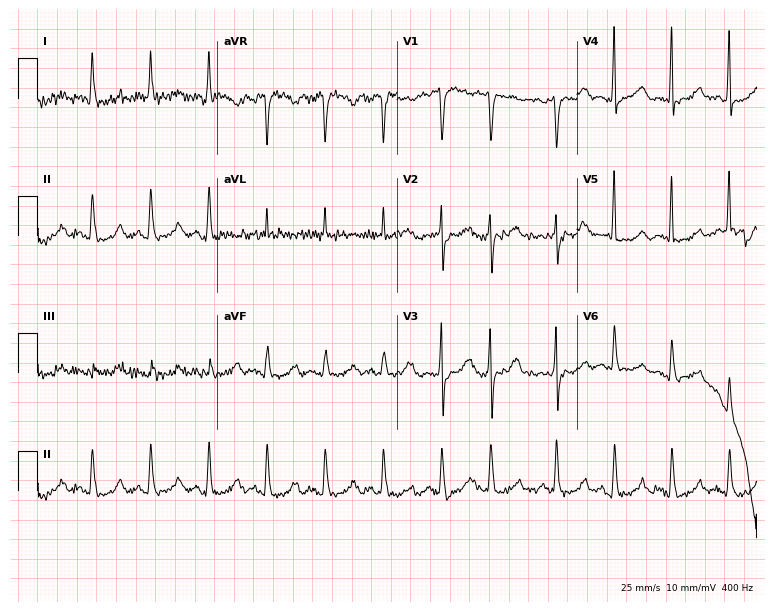
12-lead ECG from a 60-year-old female. Screened for six findings — first-degree AV block, right bundle branch block, left bundle branch block, sinus bradycardia, atrial fibrillation, sinus tachycardia — none is recorded.